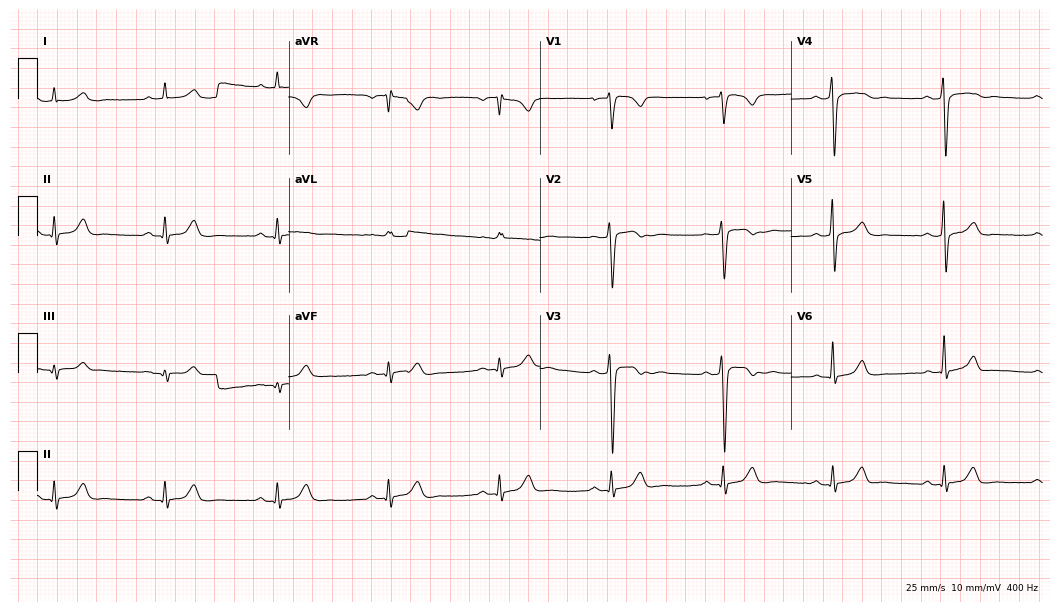
Standard 12-lead ECG recorded from a 35-year-old male patient. Read as a normal ECG.